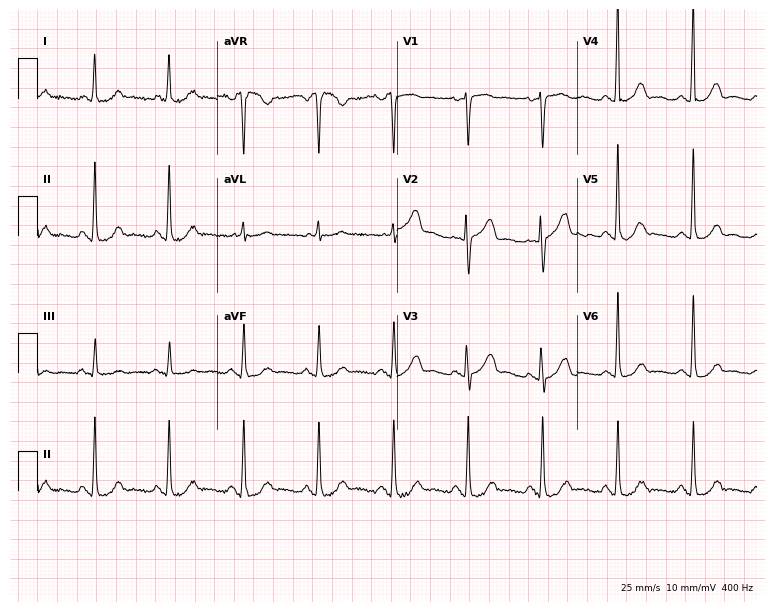
Electrocardiogram (7.3-second recording at 400 Hz), a woman, 59 years old. Of the six screened findings (first-degree AV block, right bundle branch block (RBBB), left bundle branch block (LBBB), sinus bradycardia, atrial fibrillation (AF), sinus tachycardia), none is recorded.